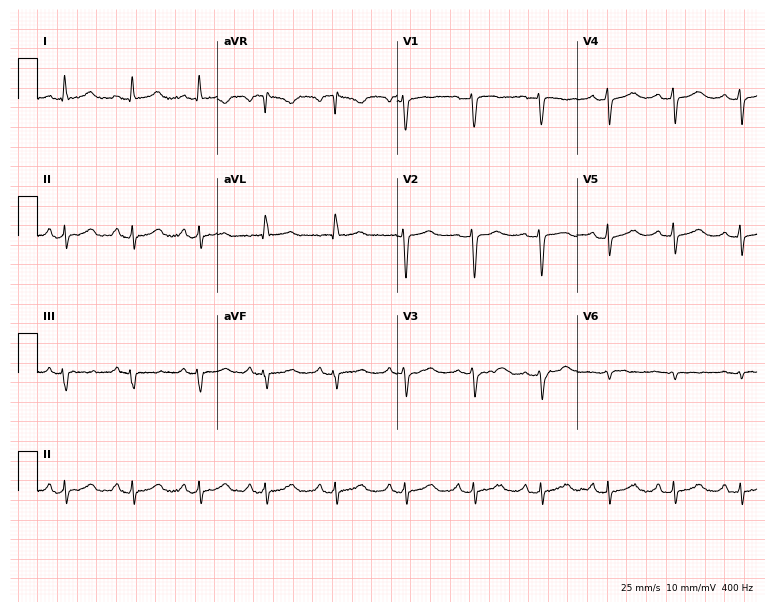
12-lead ECG from a 51-year-old female patient (7.3-second recording at 400 Hz). No first-degree AV block, right bundle branch block (RBBB), left bundle branch block (LBBB), sinus bradycardia, atrial fibrillation (AF) or sinus tachycardia recorded for this tracing.